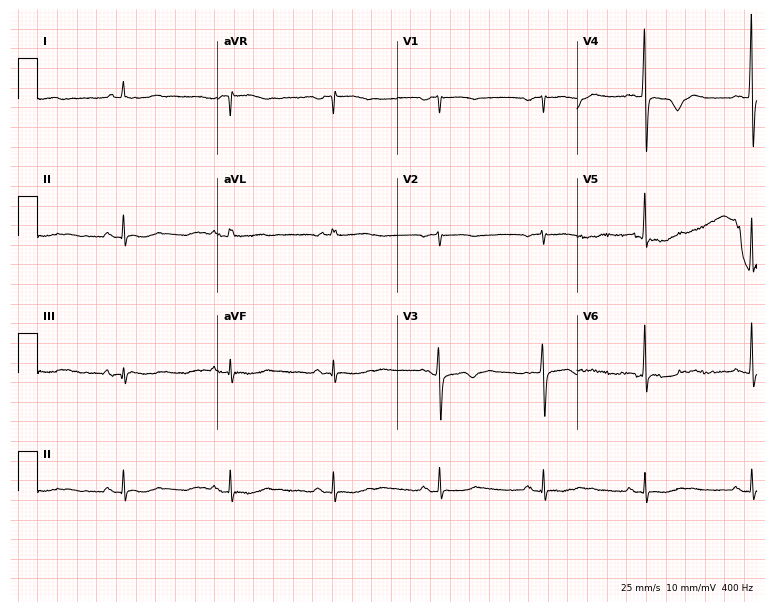
Electrocardiogram, a female patient, 68 years old. Of the six screened findings (first-degree AV block, right bundle branch block (RBBB), left bundle branch block (LBBB), sinus bradycardia, atrial fibrillation (AF), sinus tachycardia), none is recorded.